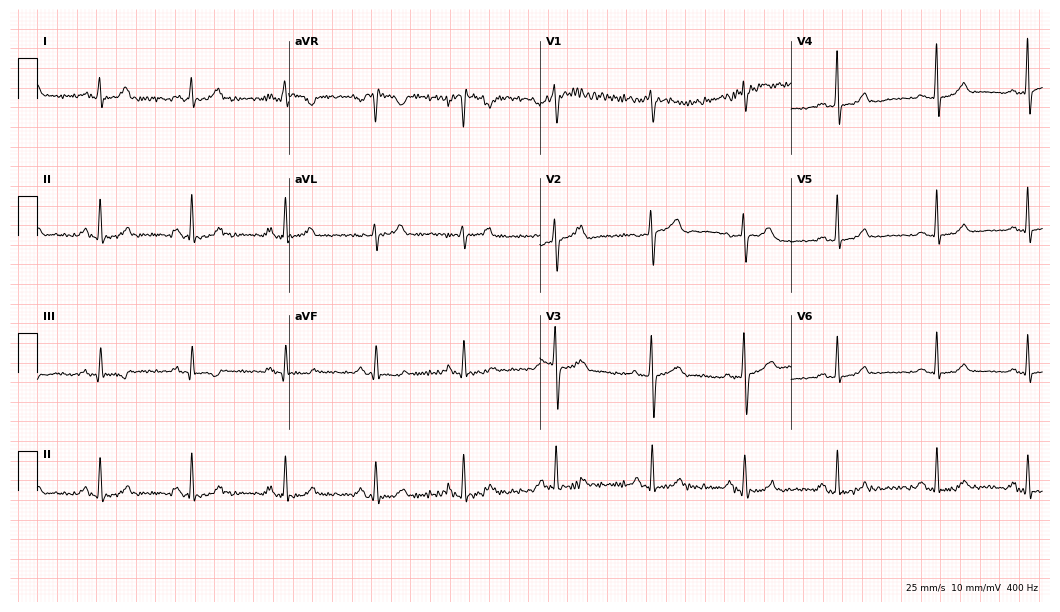
12-lead ECG from a 33-year-old female patient (10.2-second recording at 400 Hz). No first-degree AV block, right bundle branch block (RBBB), left bundle branch block (LBBB), sinus bradycardia, atrial fibrillation (AF) or sinus tachycardia recorded for this tracing. Only these six findings were labelled.